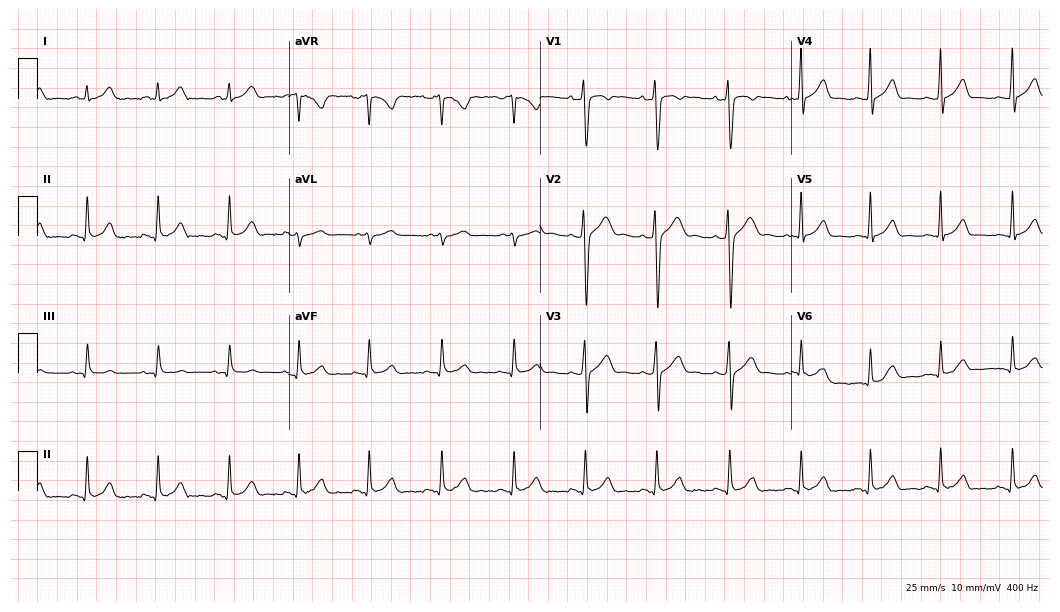
12-lead ECG from a man, 20 years old (10.2-second recording at 400 Hz). No first-degree AV block, right bundle branch block, left bundle branch block, sinus bradycardia, atrial fibrillation or sinus tachycardia recorded for this tracing. Other findings, if any, are not listed.